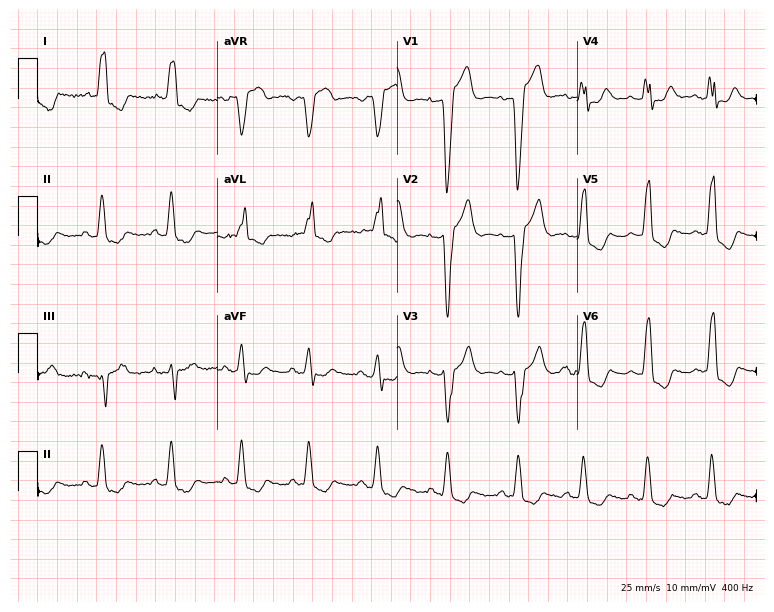
Resting 12-lead electrocardiogram. Patient: a woman, 78 years old. The tracing shows left bundle branch block.